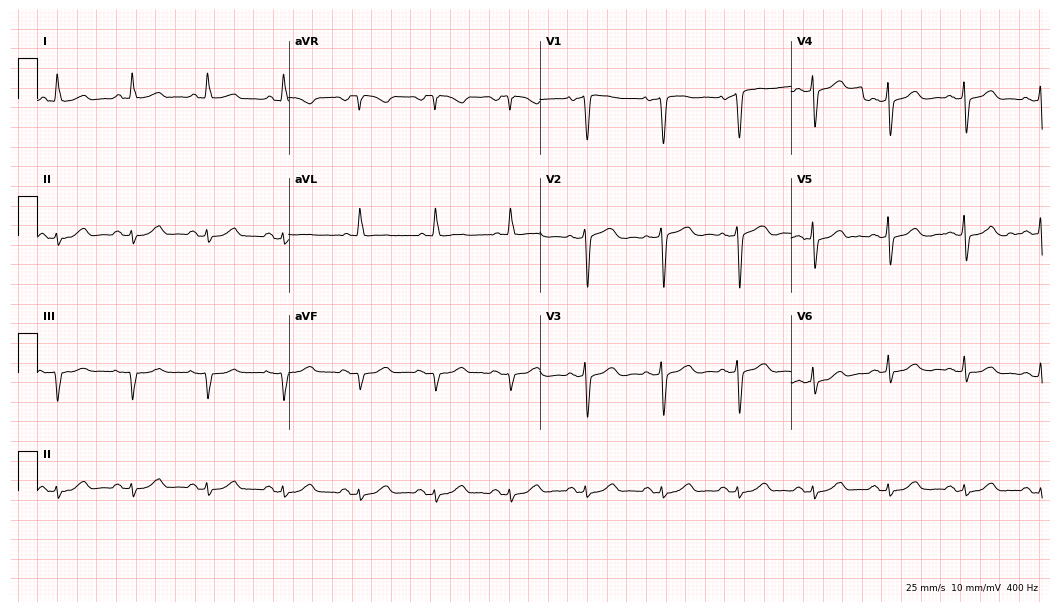
ECG — a 59-year-old female patient. Screened for six findings — first-degree AV block, right bundle branch block, left bundle branch block, sinus bradycardia, atrial fibrillation, sinus tachycardia — none is recorded. Other findings, if any, are not listed.